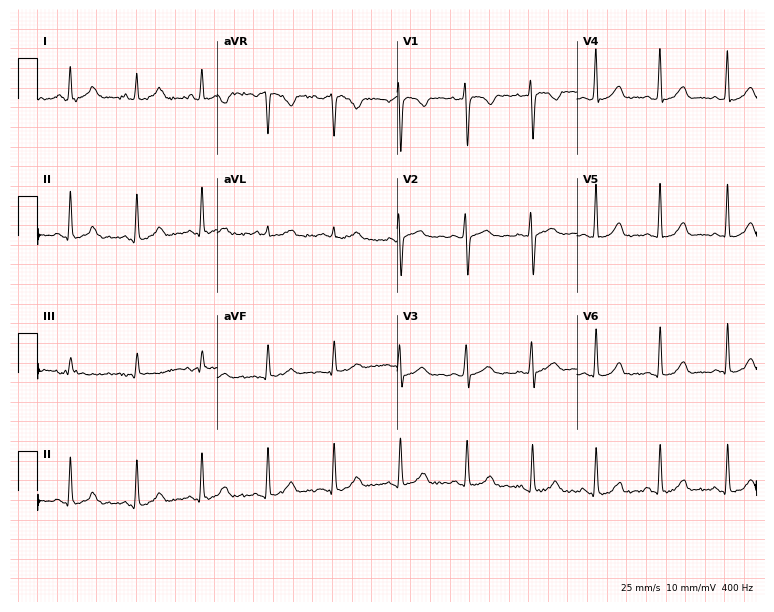
12-lead ECG from a 26-year-old female patient. No first-degree AV block, right bundle branch block (RBBB), left bundle branch block (LBBB), sinus bradycardia, atrial fibrillation (AF) or sinus tachycardia recorded for this tracing.